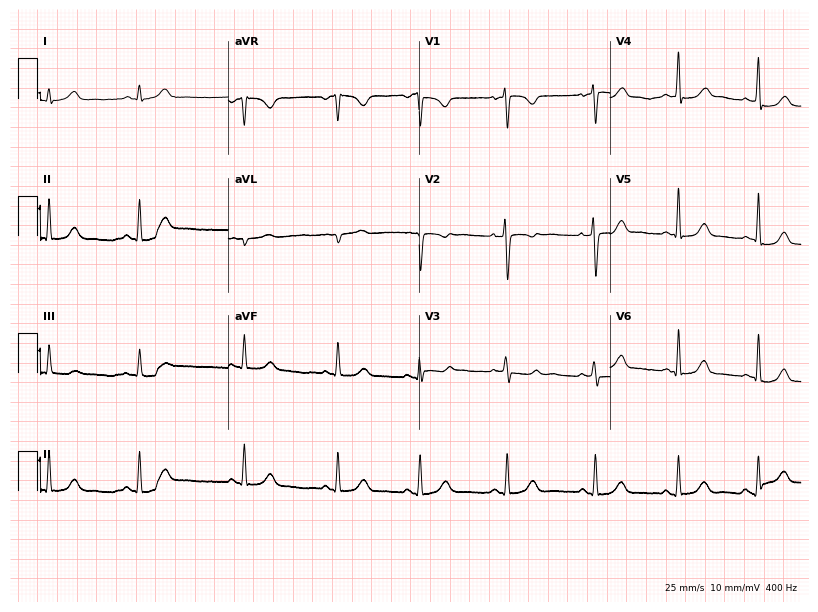
Resting 12-lead electrocardiogram (7.8-second recording at 400 Hz). Patient: a woman, 22 years old. Read as a normal ECG.